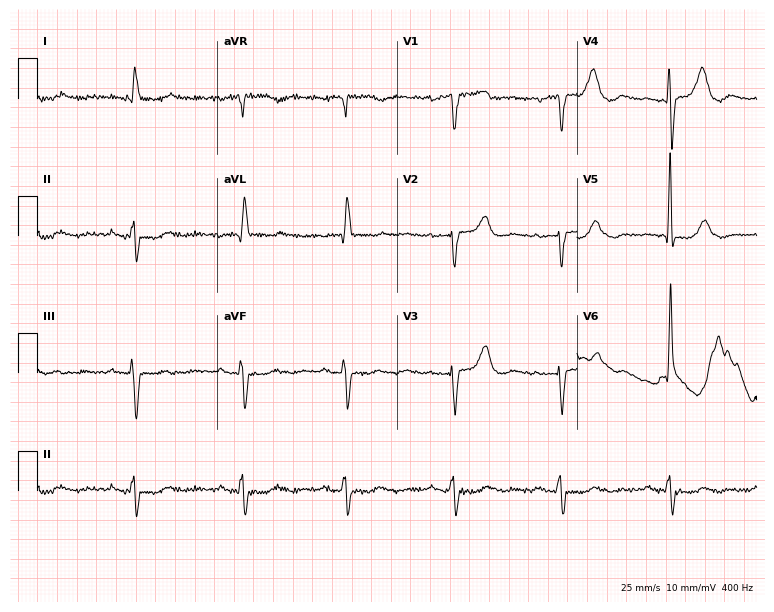
ECG (7.3-second recording at 400 Hz) — an 83-year-old male patient. Labelled as a normal ECG.